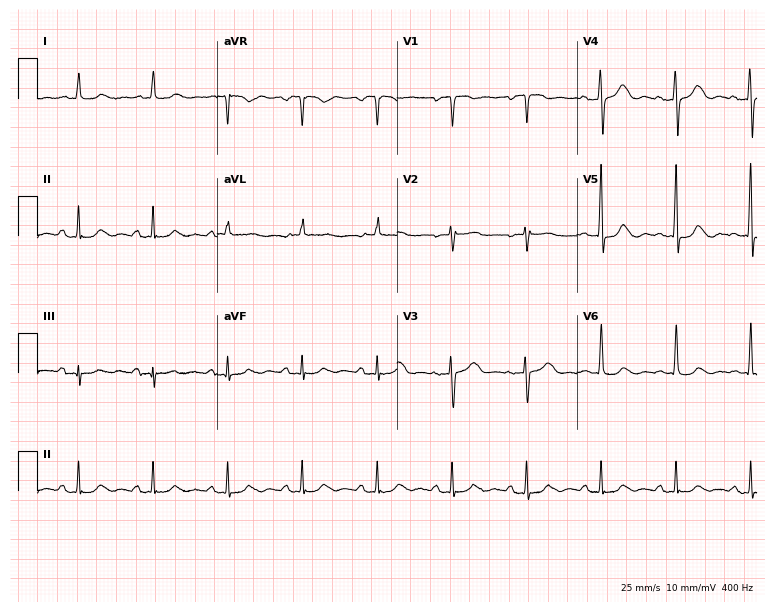
12-lead ECG from an 82-year-old female patient. Screened for six findings — first-degree AV block, right bundle branch block, left bundle branch block, sinus bradycardia, atrial fibrillation, sinus tachycardia — none is recorded.